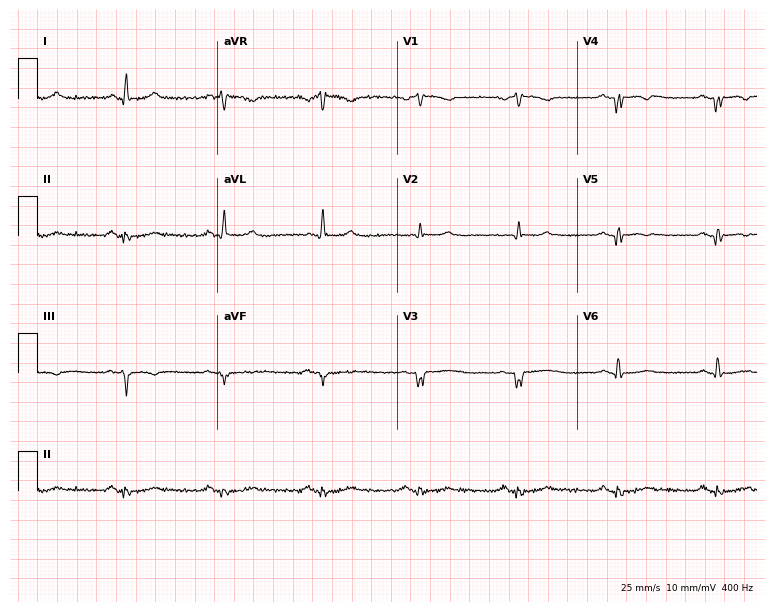
12-lead ECG (7.3-second recording at 400 Hz) from a male patient, 64 years old. Screened for six findings — first-degree AV block, right bundle branch block, left bundle branch block, sinus bradycardia, atrial fibrillation, sinus tachycardia — none is recorded.